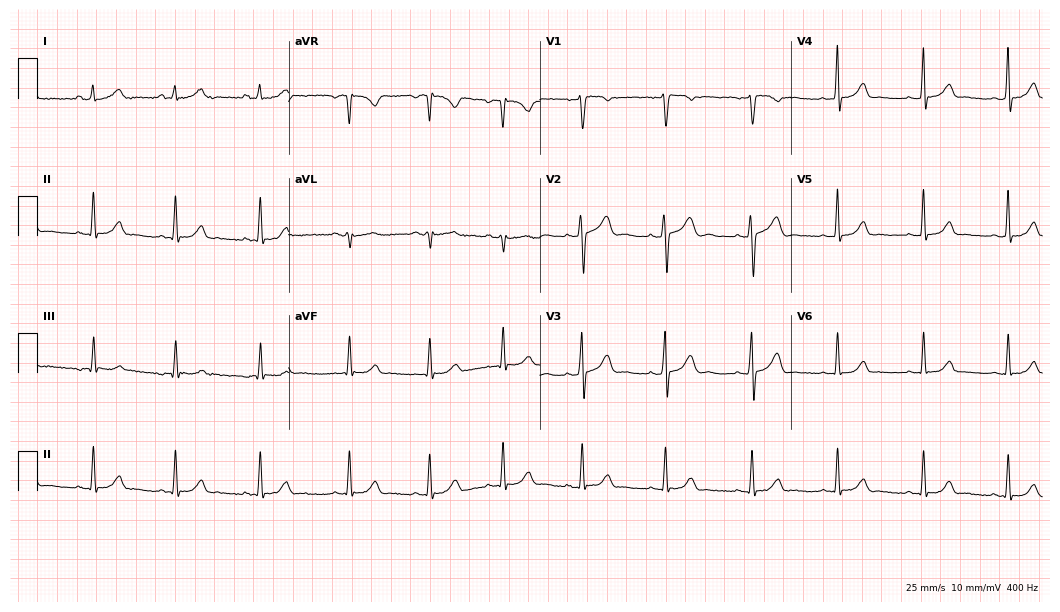
12-lead ECG from a 30-year-old female patient. Labelled as a normal ECG.